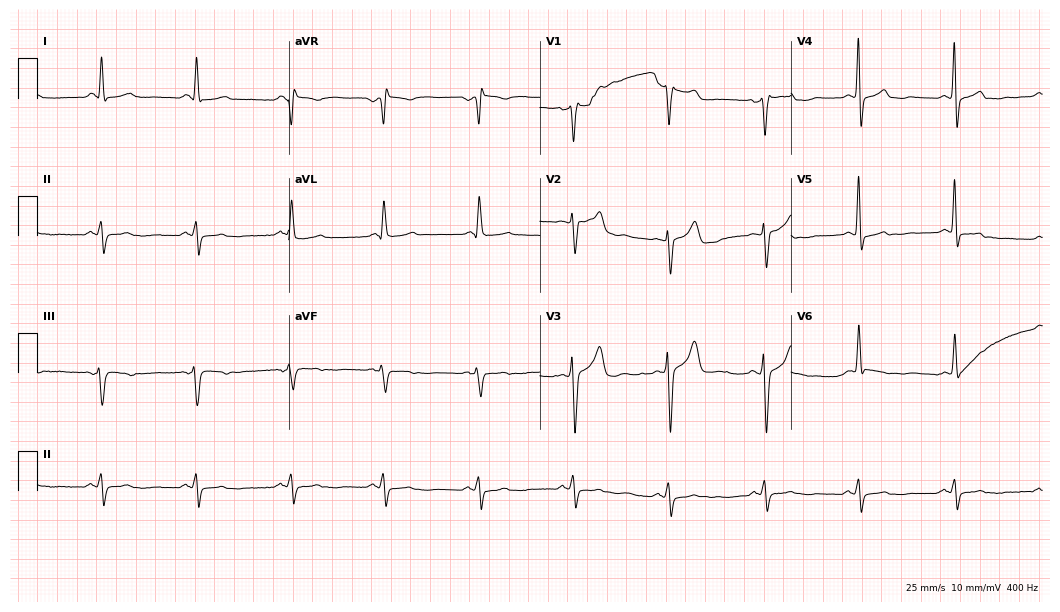
12-lead ECG from a man, 57 years old. No first-degree AV block, right bundle branch block, left bundle branch block, sinus bradycardia, atrial fibrillation or sinus tachycardia recorded for this tracing.